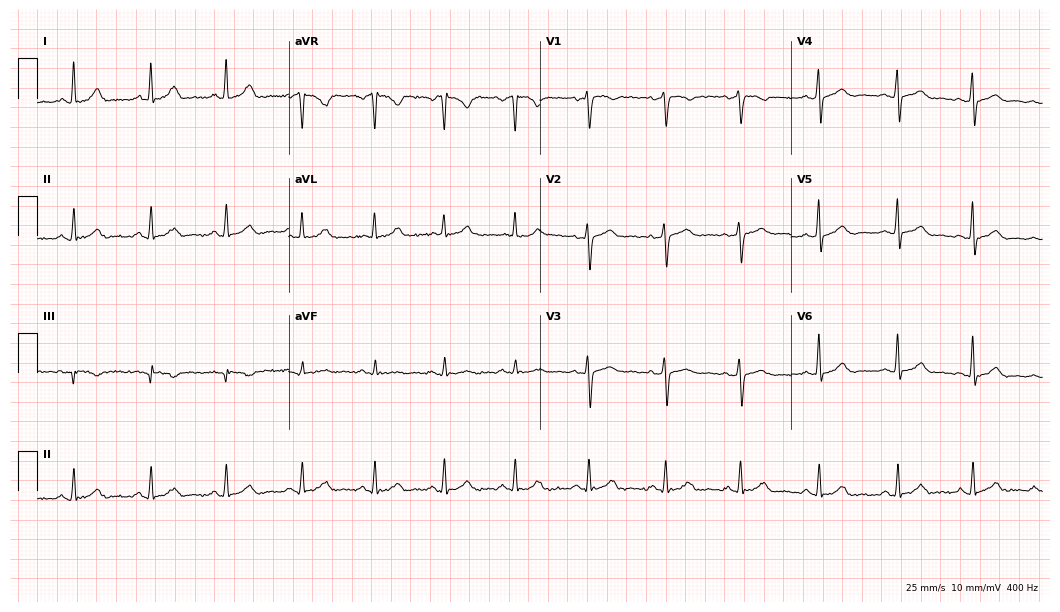
12-lead ECG from a 32-year-old woman (10.2-second recording at 400 Hz). Recorded interpretation: within normal limits.